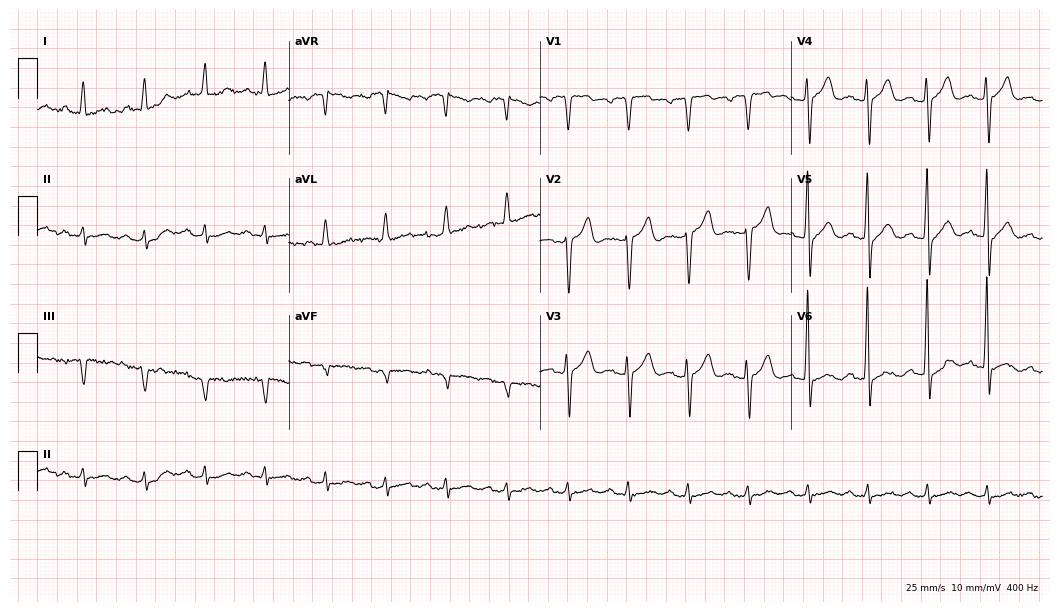
12-lead ECG from a 78-year-old man. No first-degree AV block, right bundle branch block (RBBB), left bundle branch block (LBBB), sinus bradycardia, atrial fibrillation (AF) or sinus tachycardia recorded for this tracing.